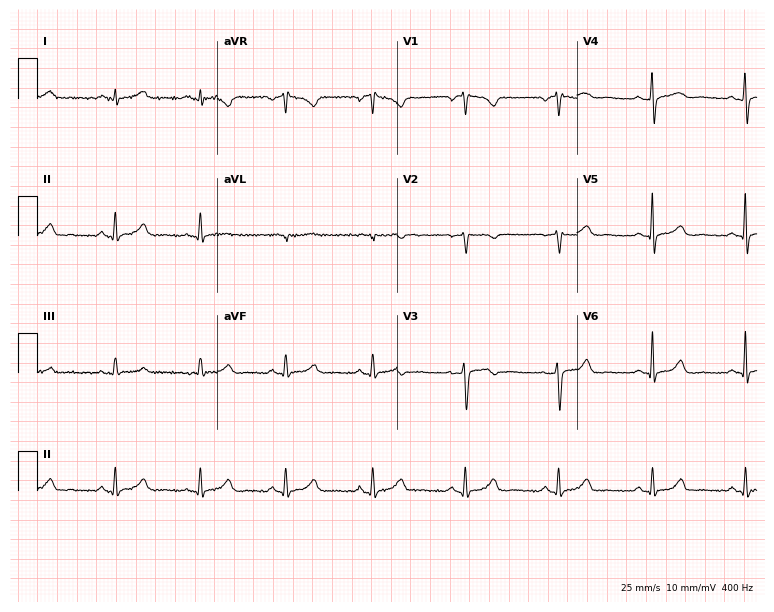
Resting 12-lead electrocardiogram. Patient: a female, 49 years old. Read as a normal ECG.